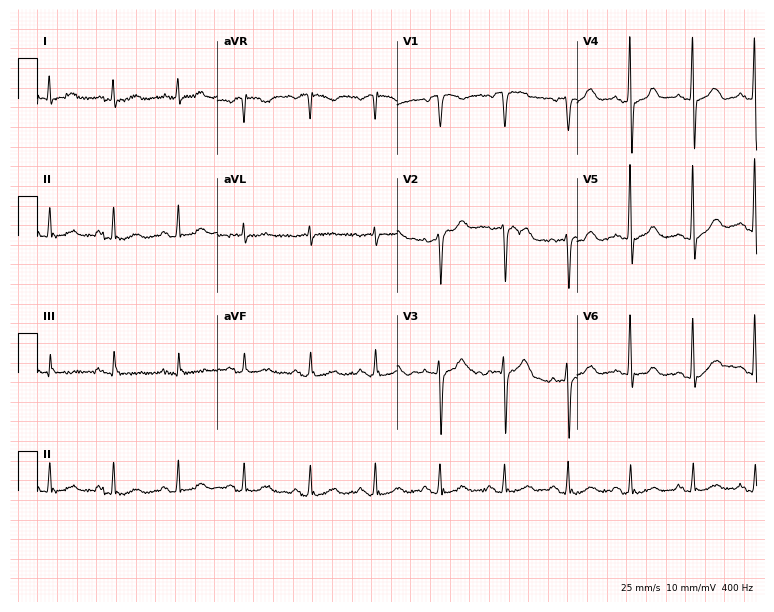
12-lead ECG from a 72-year-old male patient (7.3-second recording at 400 Hz). Recorded interpretation: within normal limits.